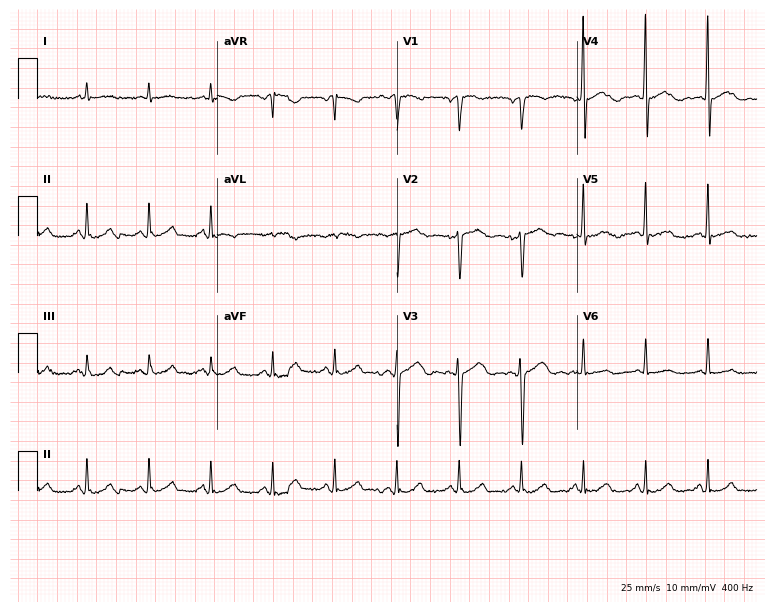
Standard 12-lead ECG recorded from a man, 60 years old. None of these six findings is recorded: first-degree AV block, right bundle branch block (RBBB), left bundle branch block (LBBB), sinus bradycardia, atrial fibrillation (AF), sinus tachycardia. Other findings, if any, are not listed.